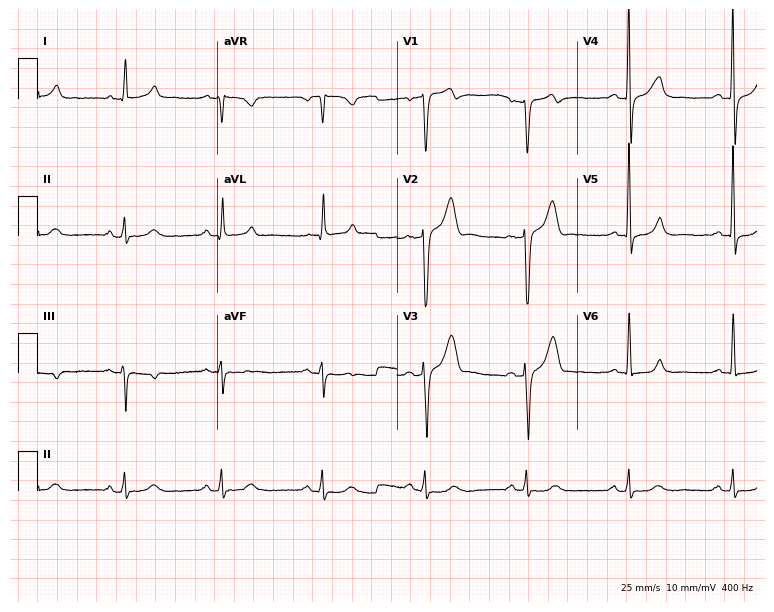
ECG (7.3-second recording at 400 Hz) — a male patient, 63 years old. Labelled as a normal ECG.